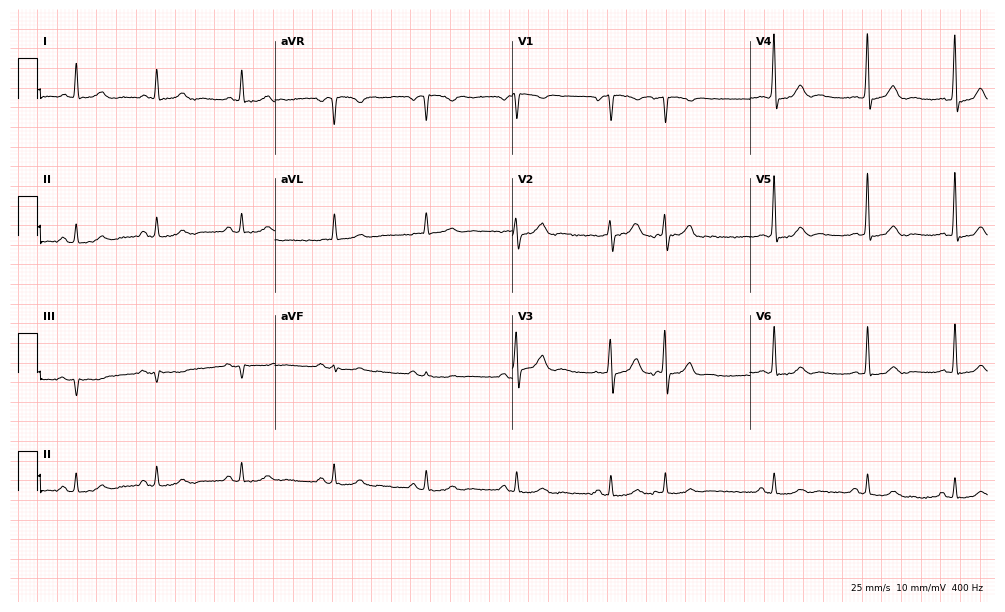
12-lead ECG from a male patient, 73 years old. Recorded interpretation: within normal limits.